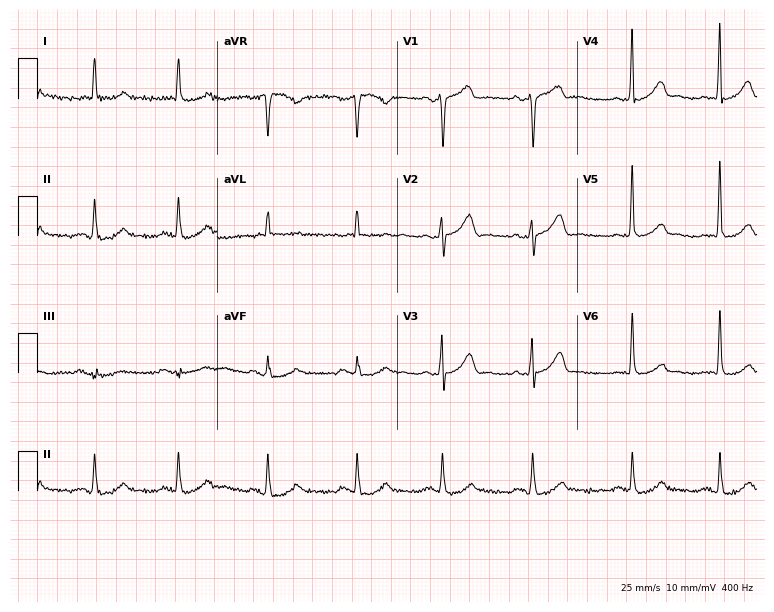
12-lead ECG from a 69-year-old woman. Labelled as a normal ECG.